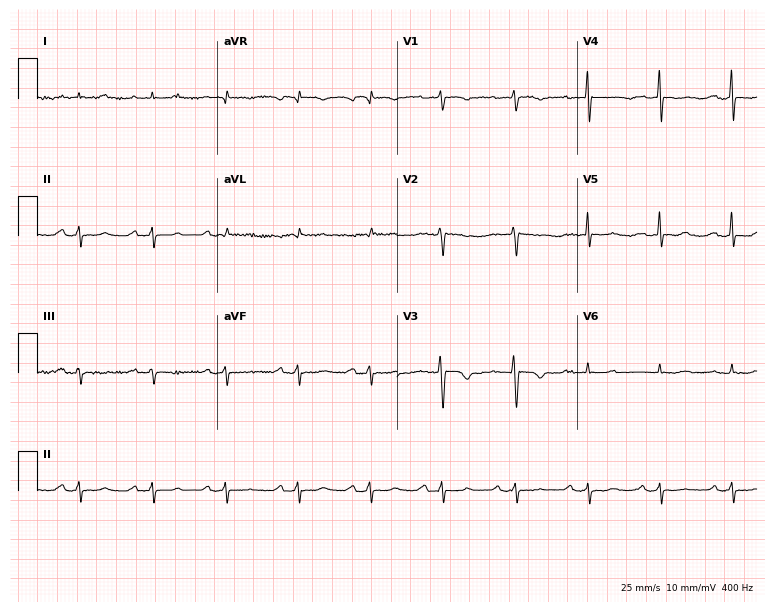
Standard 12-lead ECG recorded from a female patient, 46 years old. None of these six findings is recorded: first-degree AV block, right bundle branch block, left bundle branch block, sinus bradycardia, atrial fibrillation, sinus tachycardia.